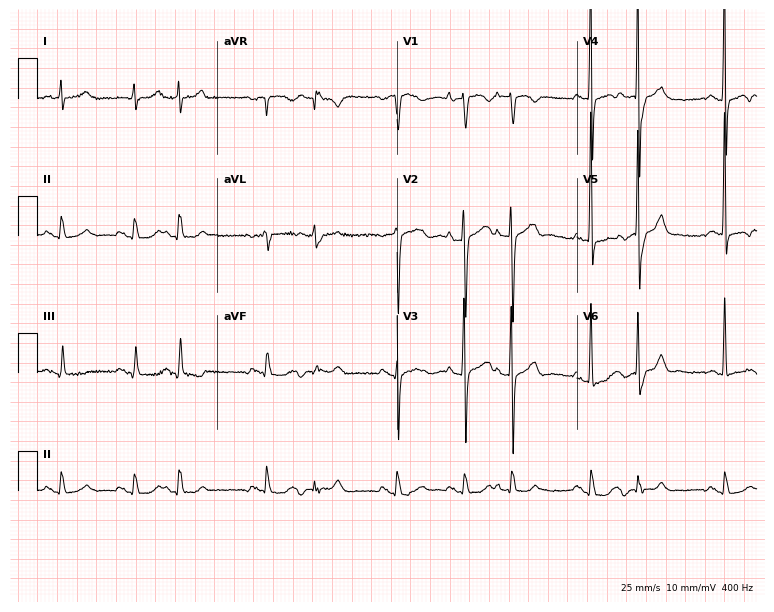
Resting 12-lead electrocardiogram (7.3-second recording at 400 Hz). Patient: a male, 74 years old. None of these six findings is recorded: first-degree AV block, right bundle branch block, left bundle branch block, sinus bradycardia, atrial fibrillation, sinus tachycardia. Other findings, if any, are not listed.